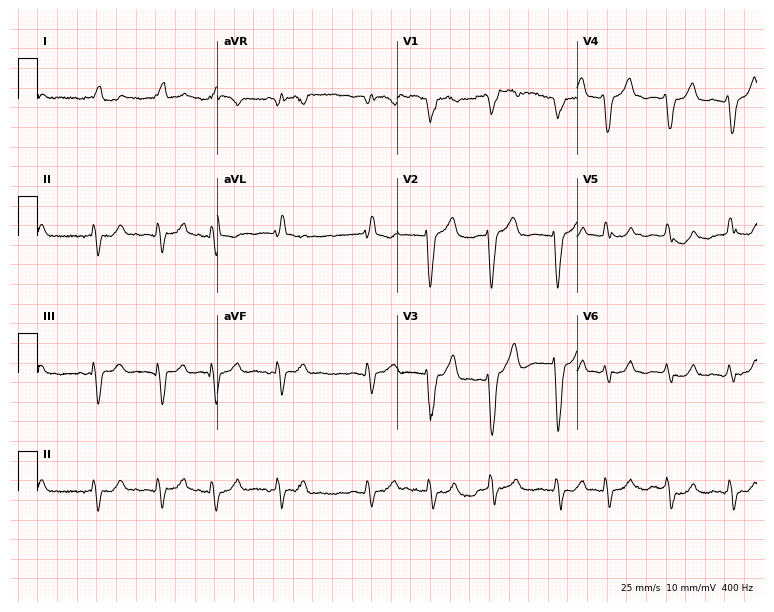
ECG — a 71-year-old man. Findings include atrial fibrillation.